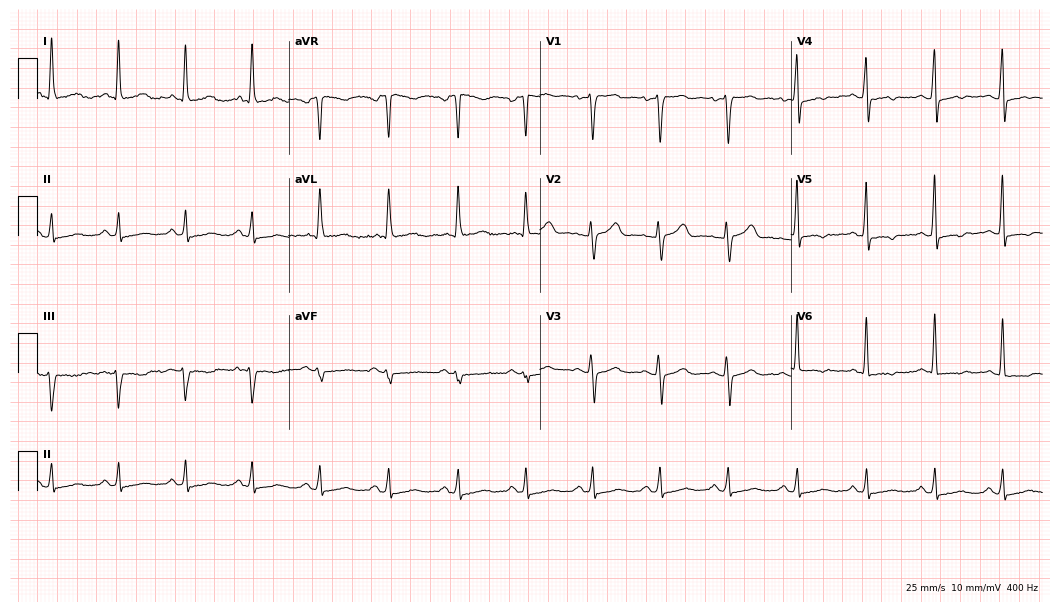
12-lead ECG from a 51-year-old female. Labelled as a normal ECG.